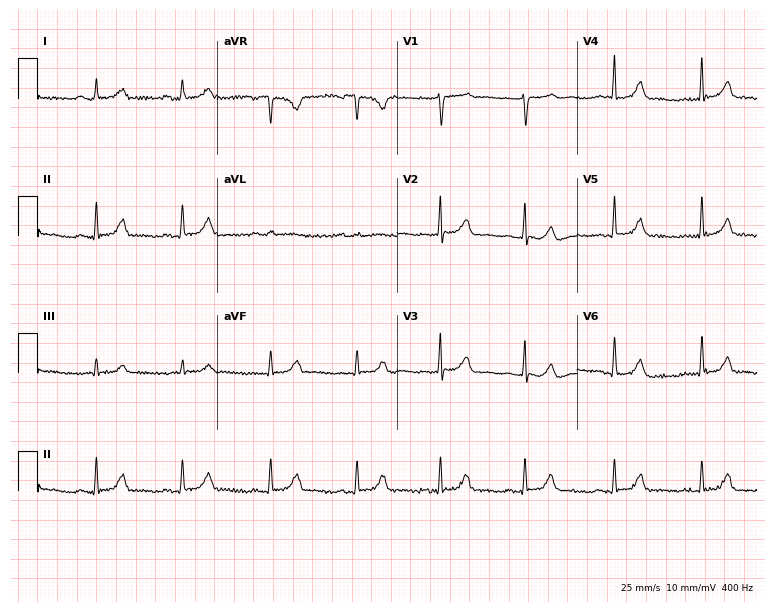
Electrocardiogram, a 25-year-old woman. Overall reading on record: normal ECG.